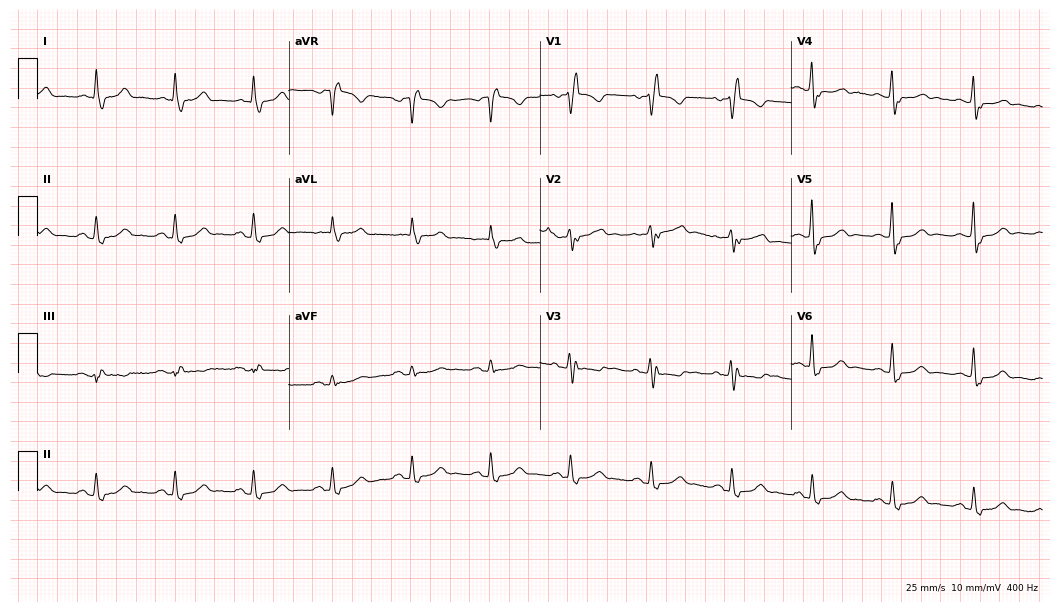
Standard 12-lead ECG recorded from a 78-year-old female. The tracing shows right bundle branch block.